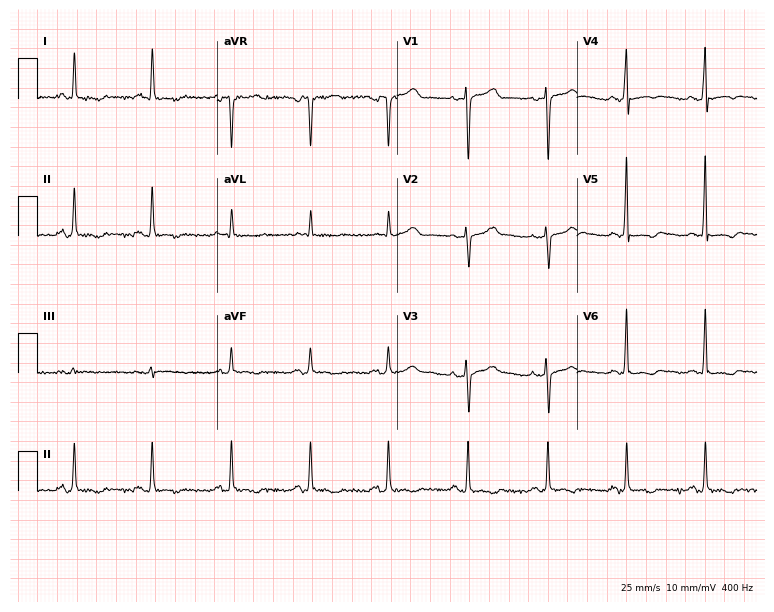
Standard 12-lead ECG recorded from a 61-year-old female patient. None of these six findings is recorded: first-degree AV block, right bundle branch block, left bundle branch block, sinus bradycardia, atrial fibrillation, sinus tachycardia.